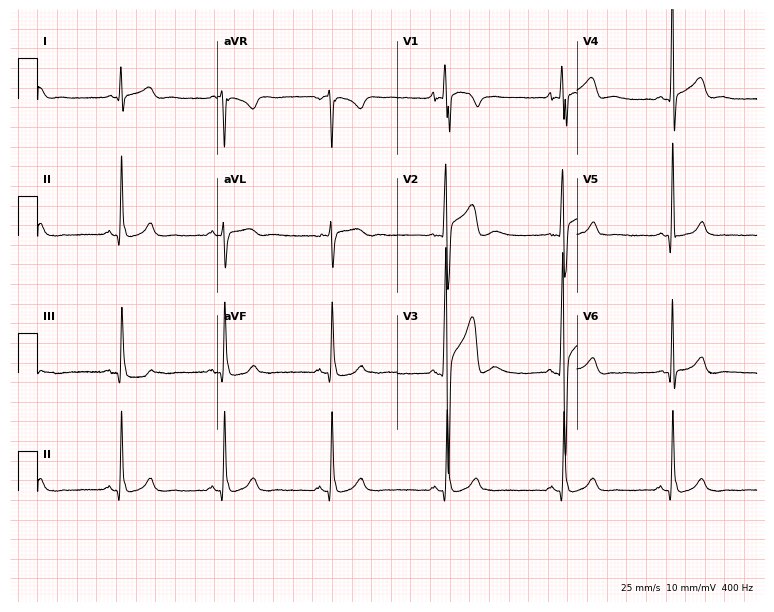
Resting 12-lead electrocardiogram. Patient: a man, 23 years old. Read as a normal ECG.